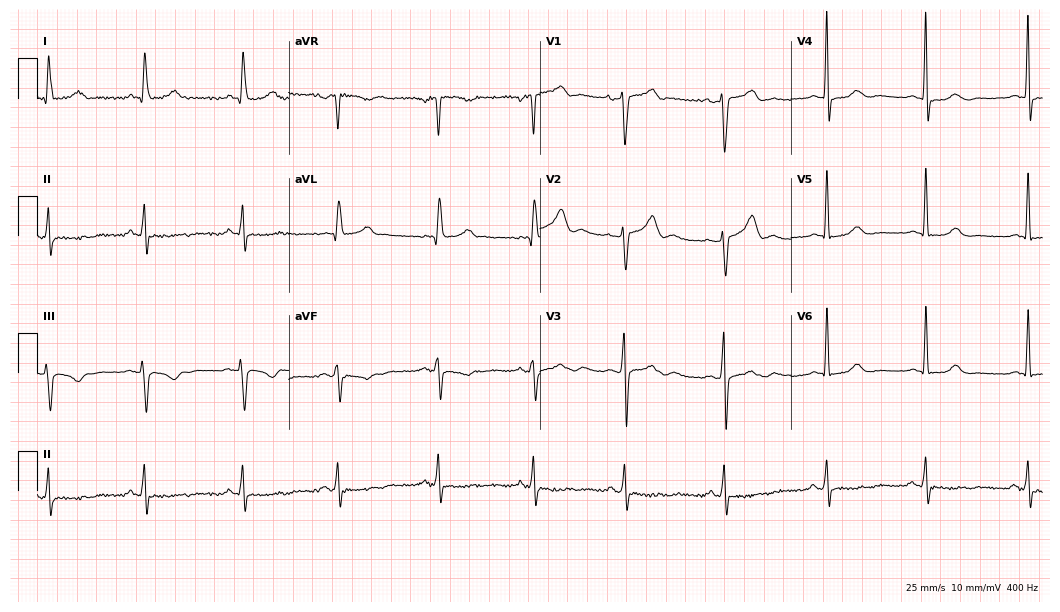
ECG — a 46-year-old male. Labelled as a normal ECG.